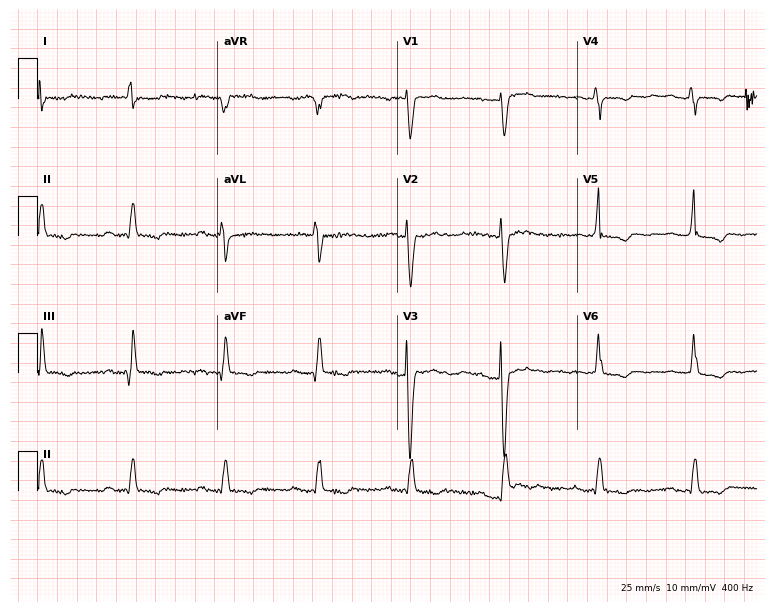
Standard 12-lead ECG recorded from a 78-year-old female (7.3-second recording at 400 Hz). None of these six findings is recorded: first-degree AV block, right bundle branch block, left bundle branch block, sinus bradycardia, atrial fibrillation, sinus tachycardia. Only these six findings were labelled.